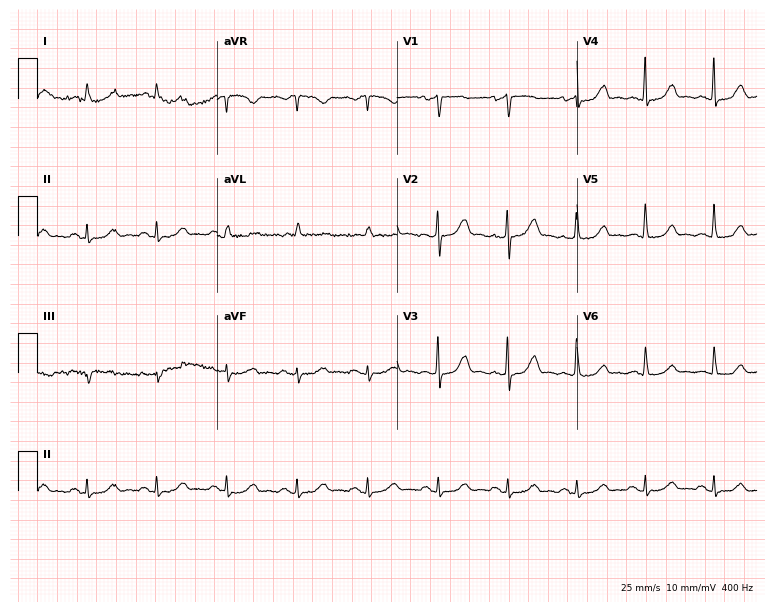
Resting 12-lead electrocardiogram (7.3-second recording at 400 Hz). Patient: a female, 75 years old. Read as a normal ECG.